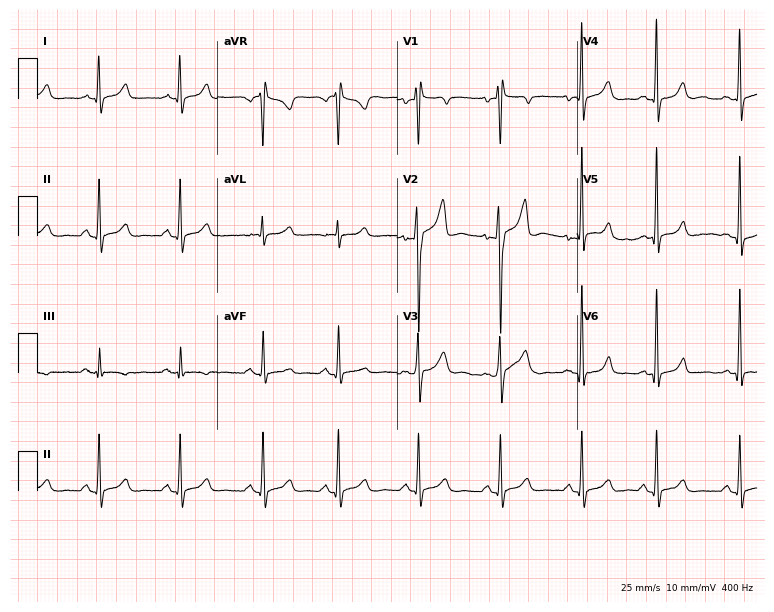
Standard 12-lead ECG recorded from a 35-year-old male. None of these six findings is recorded: first-degree AV block, right bundle branch block, left bundle branch block, sinus bradycardia, atrial fibrillation, sinus tachycardia. Other findings, if any, are not listed.